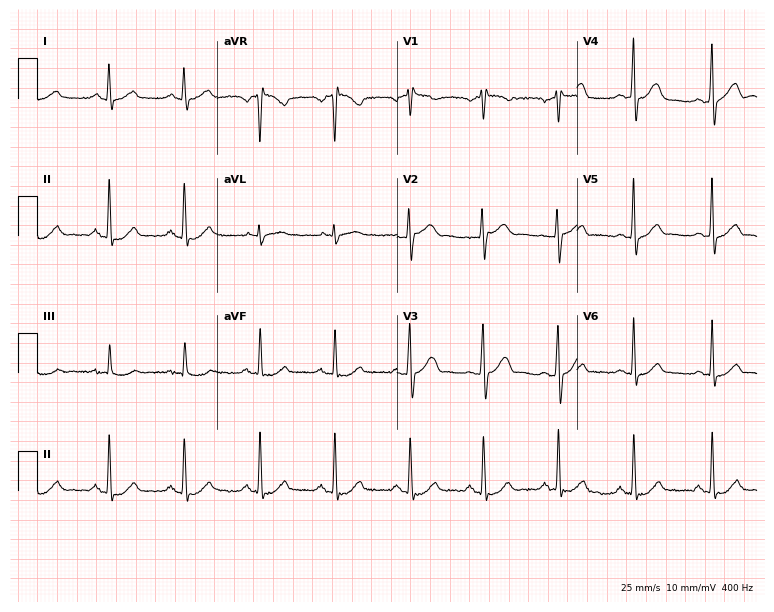
Standard 12-lead ECG recorded from a 48-year-old male patient (7.3-second recording at 400 Hz). Read as a normal ECG.